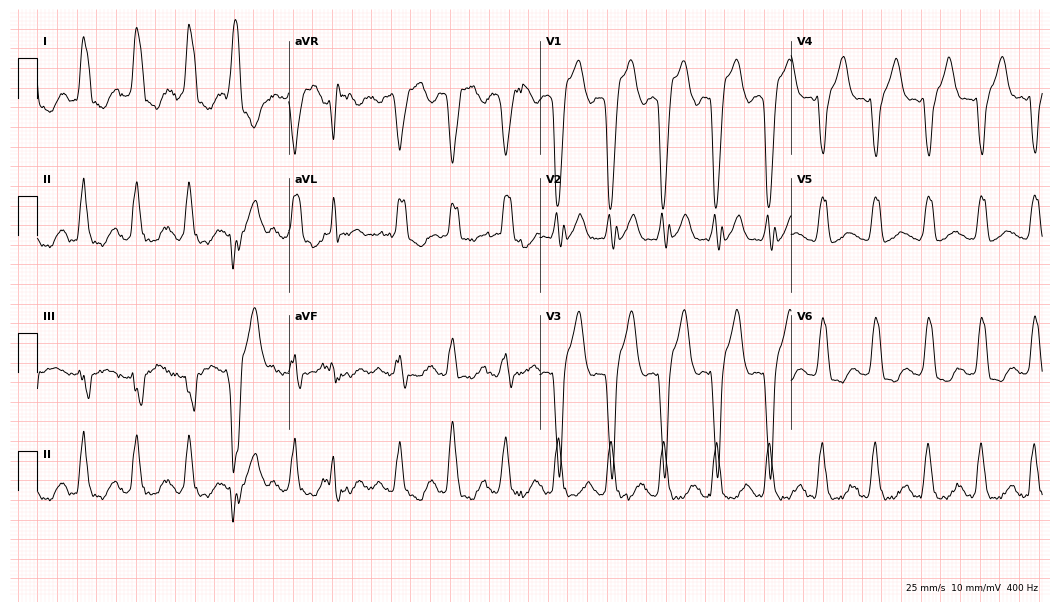
Standard 12-lead ECG recorded from a 74-year-old female. The tracing shows left bundle branch block, sinus tachycardia (a sinus rate of 100 beats per minute or more).